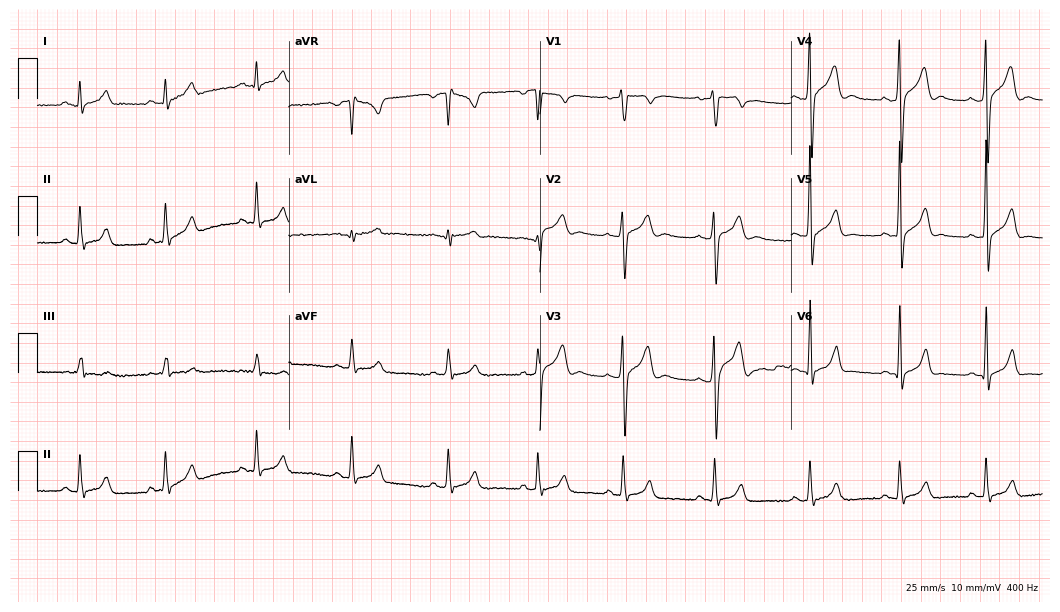
12-lead ECG (10.2-second recording at 400 Hz) from a 20-year-old male patient. Labelled as a normal ECG.